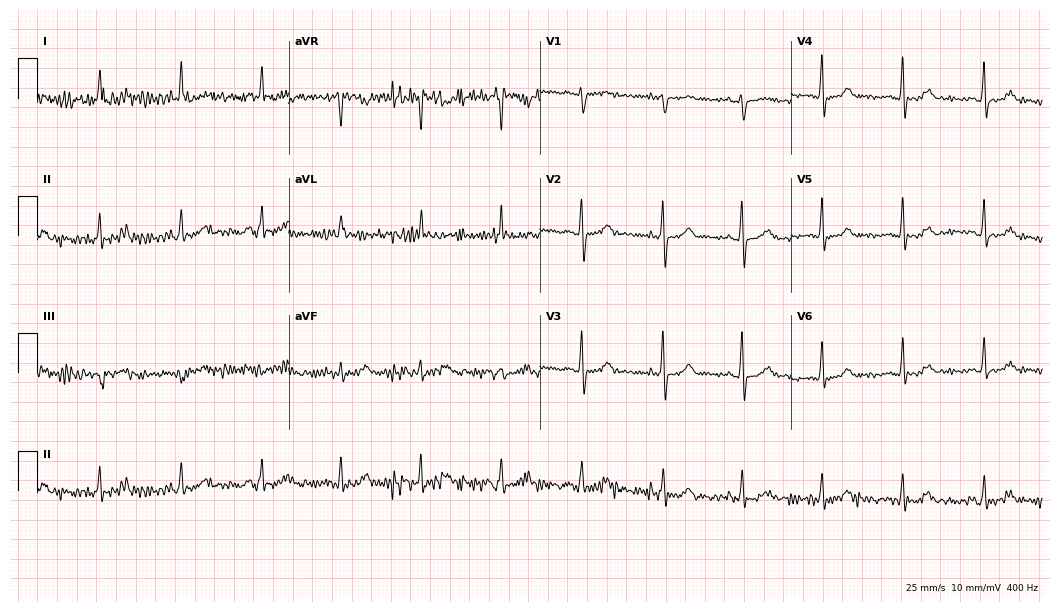
Electrocardiogram, a female patient, 73 years old. Of the six screened findings (first-degree AV block, right bundle branch block (RBBB), left bundle branch block (LBBB), sinus bradycardia, atrial fibrillation (AF), sinus tachycardia), none is recorded. Findings outside these six are not listed.